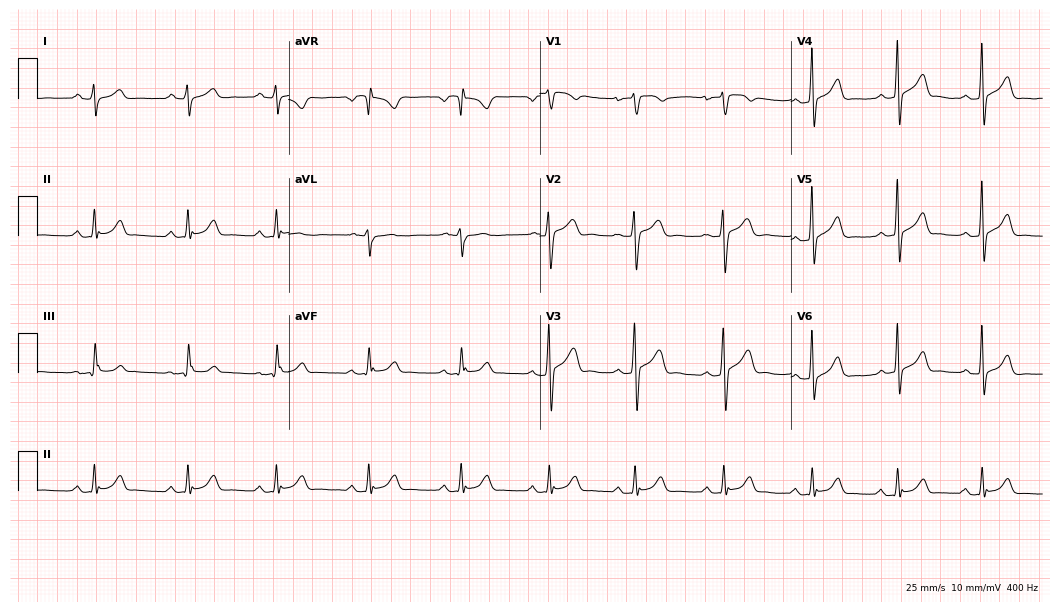
Standard 12-lead ECG recorded from a female patient, 21 years old (10.2-second recording at 400 Hz). None of these six findings is recorded: first-degree AV block, right bundle branch block, left bundle branch block, sinus bradycardia, atrial fibrillation, sinus tachycardia.